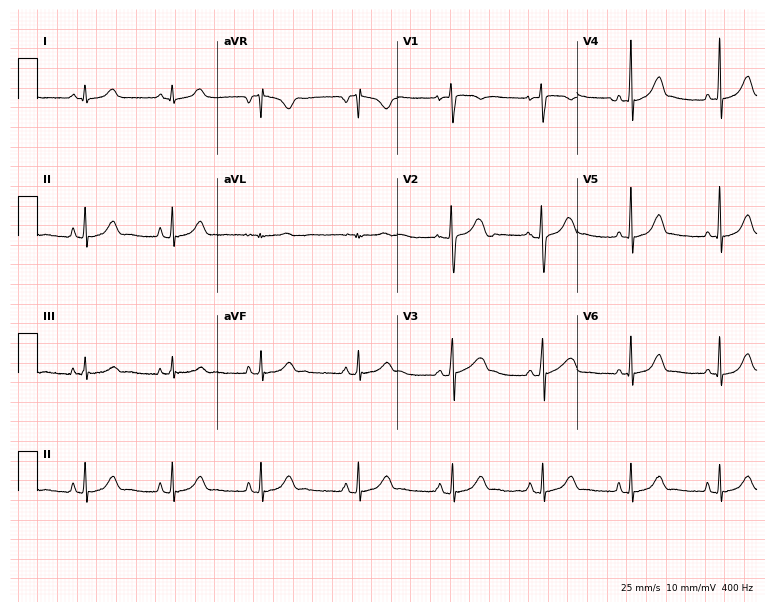
ECG (7.3-second recording at 400 Hz) — a 19-year-old female patient. Labelled as a normal ECG.